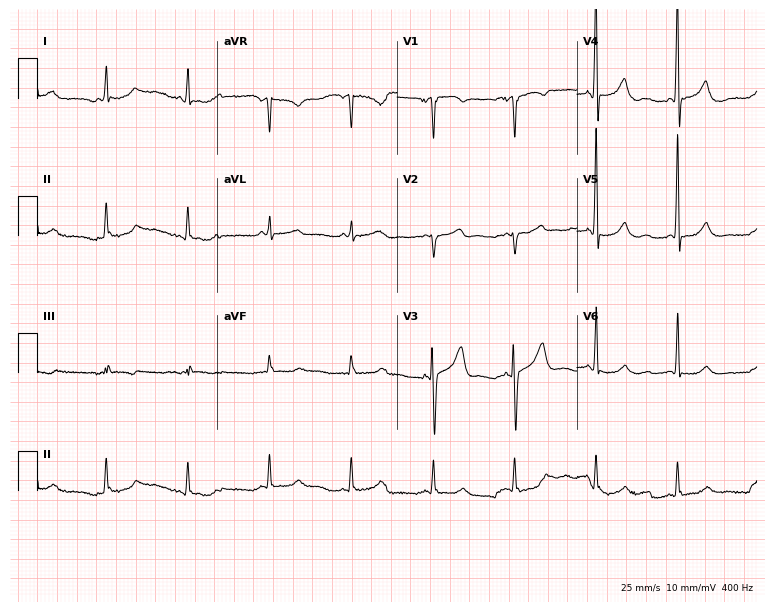
12-lead ECG from a man, 77 years old. No first-degree AV block, right bundle branch block, left bundle branch block, sinus bradycardia, atrial fibrillation or sinus tachycardia recorded for this tracing. Only these six findings were labelled.